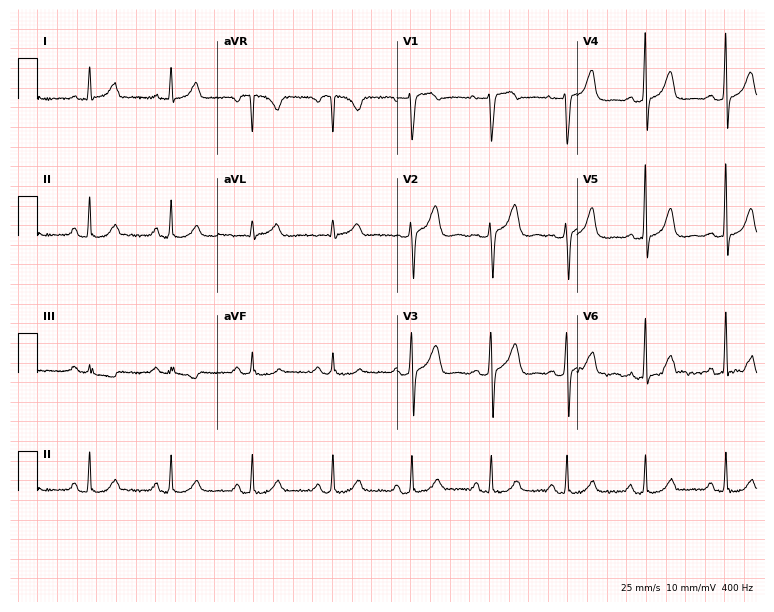
ECG (7.3-second recording at 400 Hz) — a woman, 45 years old. Labelled as a normal ECG.